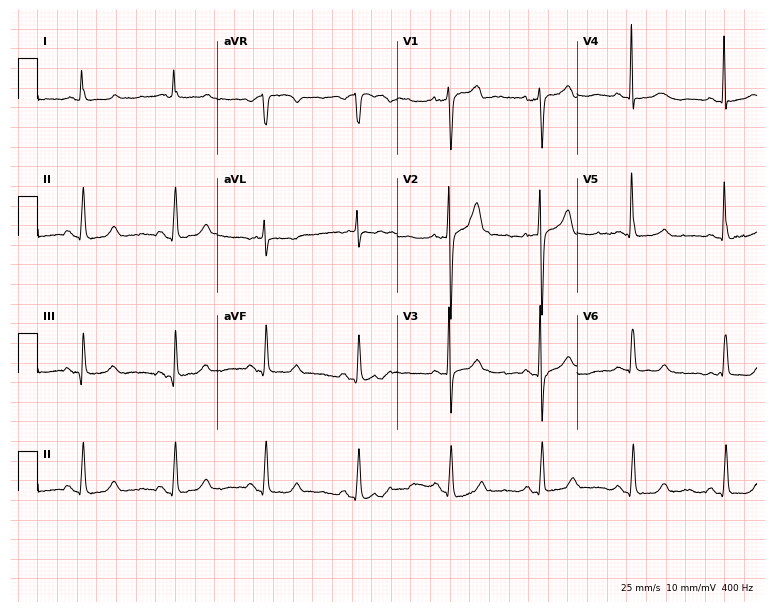
ECG — a female, 68 years old. Labelled as a normal ECG.